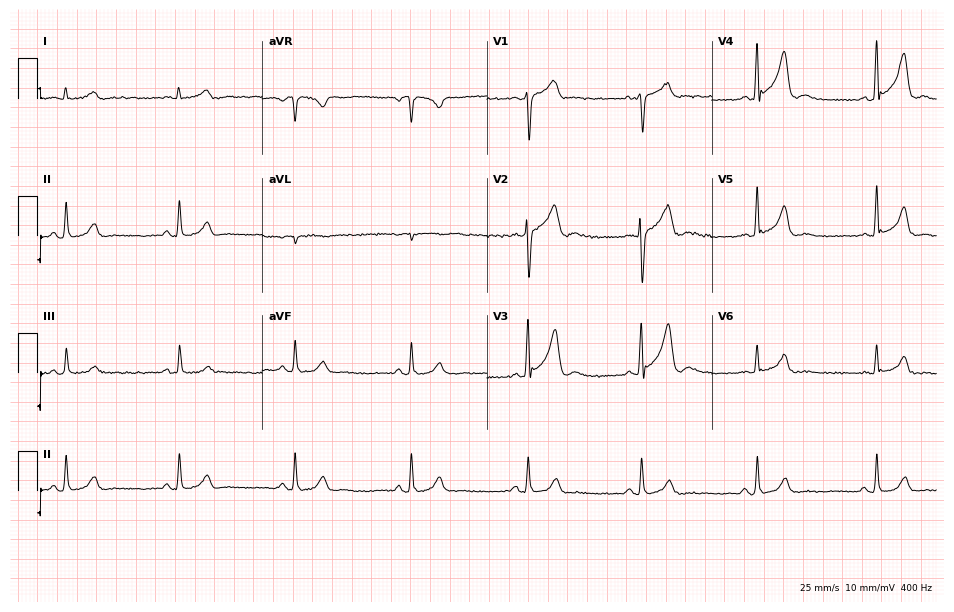
Electrocardiogram, a 60-year-old male patient. Overall reading on record: normal ECG.